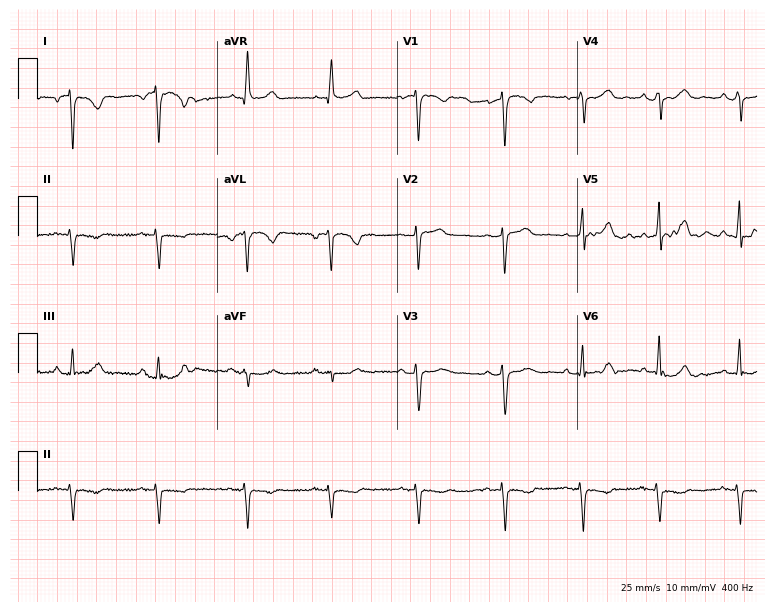
ECG — a 52-year-old woman. Screened for six findings — first-degree AV block, right bundle branch block, left bundle branch block, sinus bradycardia, atrial fibrillation, sinus tachycardia — none is recorded. Only these six findings were labelled.